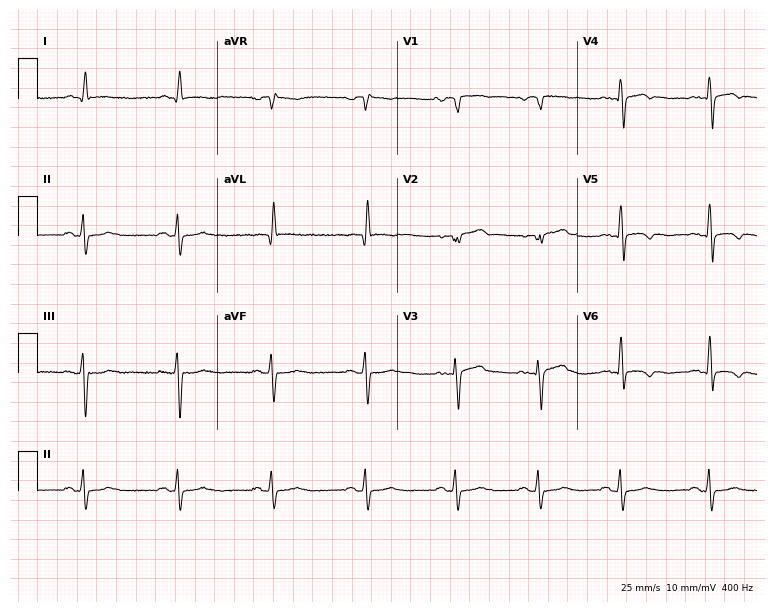
Standard 12-lead ECG recorded from a 75-year-old male patient (7.3-second recording at 400 Hz). None of these six findings is recorded: first-degree AV block, right bundle branch block, left bundle branch block, sinus bradycardia, atrial fibrillation, sinus tachycardia. Findings outside these six are not listed.